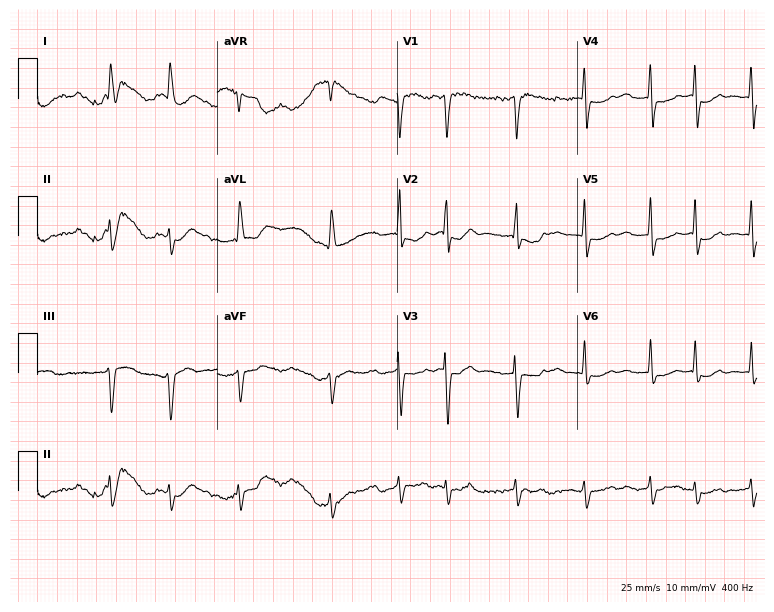
Resting 12-lead electrocardiogram. Patient: a female, 80 years old. The tracing shows left bundle branch block, atrial fibrillation.